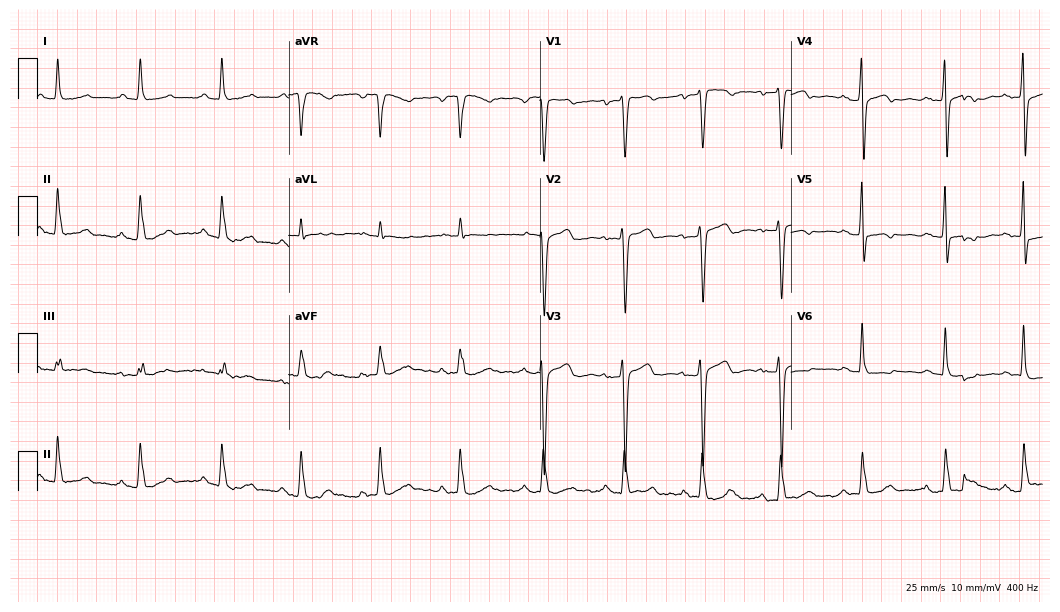
12-lead ECG from a 48-year-old female. Screened for six findings — first-degree AV block, right bundle branch block, left bundle branch block, sinus bradycardia, atrial fibrillation, sinus tachycardia — none is recorded.